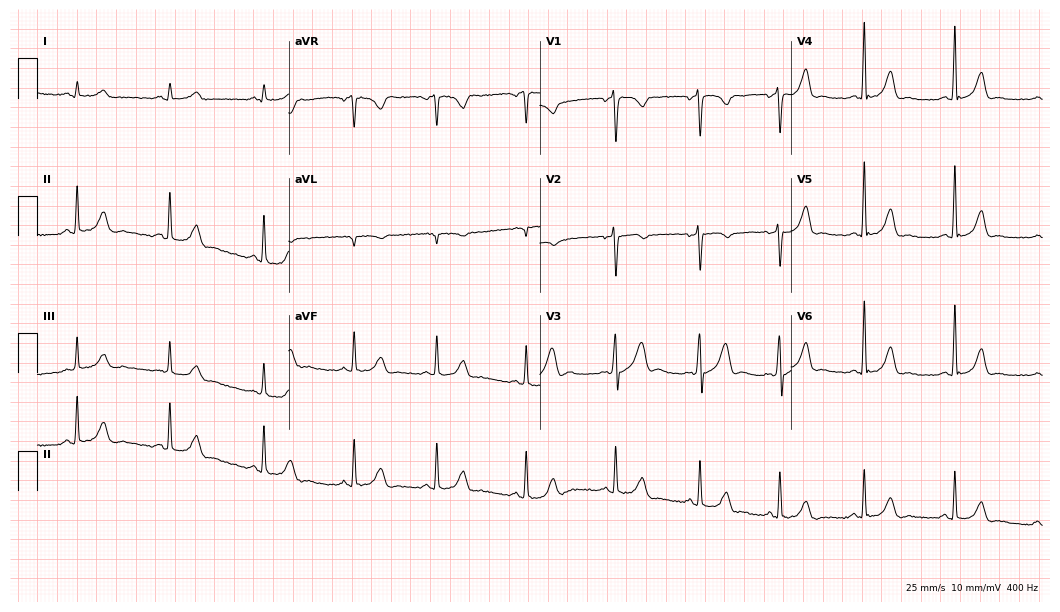
Standard 12-lead ECG recorded from a male patient, 33 years old (10.2-second recording at 400 Hz). Read as a normal ECG.